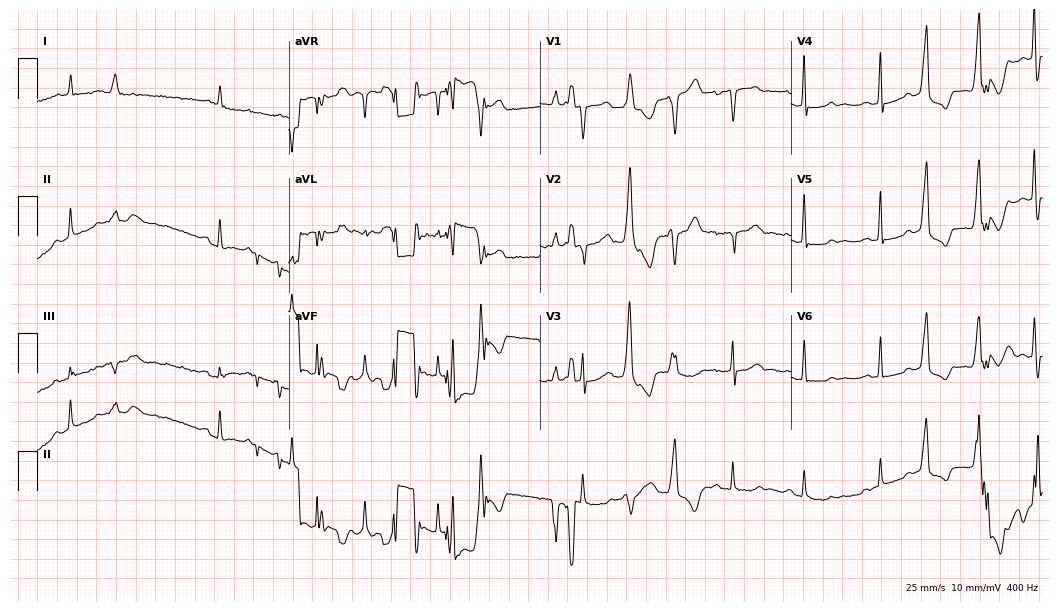
Resting 12-lead electrocardiogram (10.2-second recording at 400 Hz). Patient: a 65-year-old male. None of these six findings is recorded: first-degree AV block, right bundle branch block, left bundle branch block, sinus bradycardia, atrial fibrillation, sinus tachycardia. Other findings, if any, are not listed.